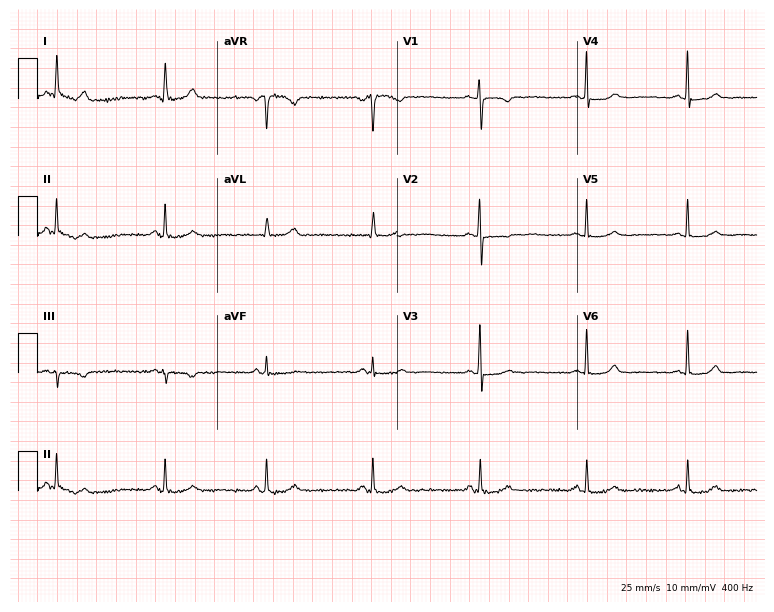
Resting 12-lead electrocardiogram (7.3-second recording at 400 Hz). Patient: a woman, 43 years old. None of these six findings is recorded: first-degree AV block, right bundle branch block, left bundle branch block, sinus bradycardia, atrial fibrillation, sinus tachycardia. Only these six findings were labelled.